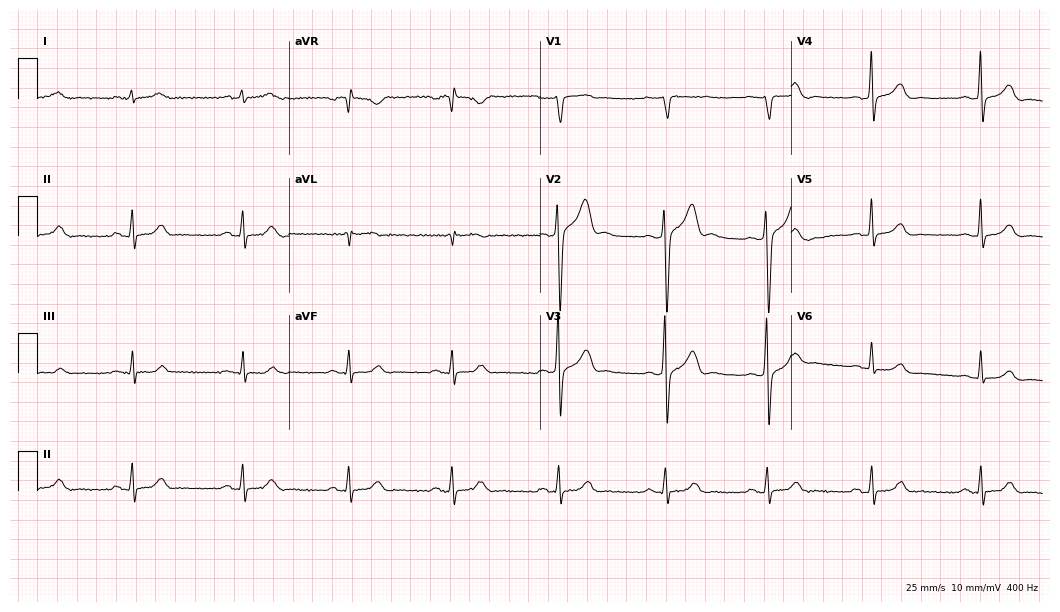
12-lead ECG from a man, 48 years old. Recorded interpretation: within normal limits.